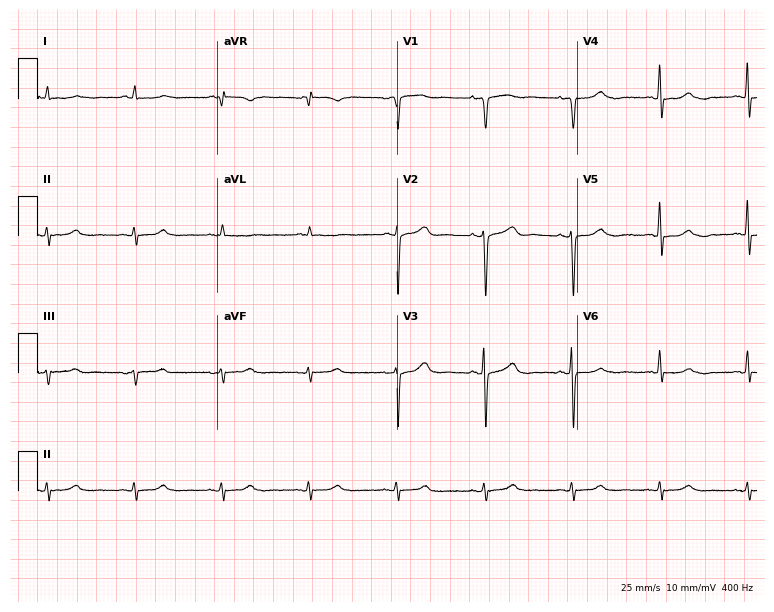
ECG — an 83-year-old man. Labelled as a normal ECG.